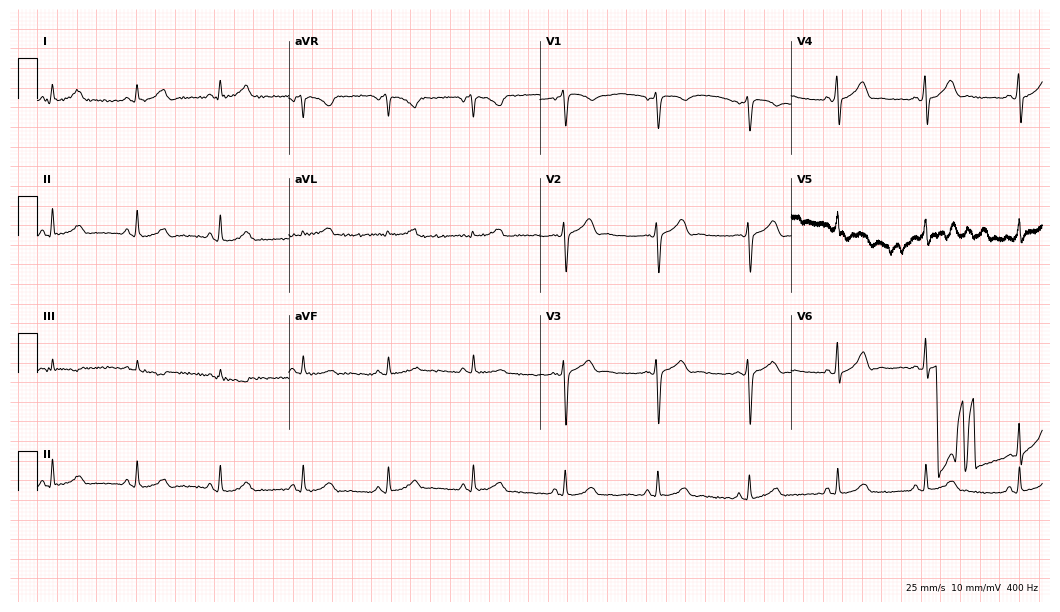
12-lead ECG from a male patient, 29 years old. Recorded interpretation: within normal limits.